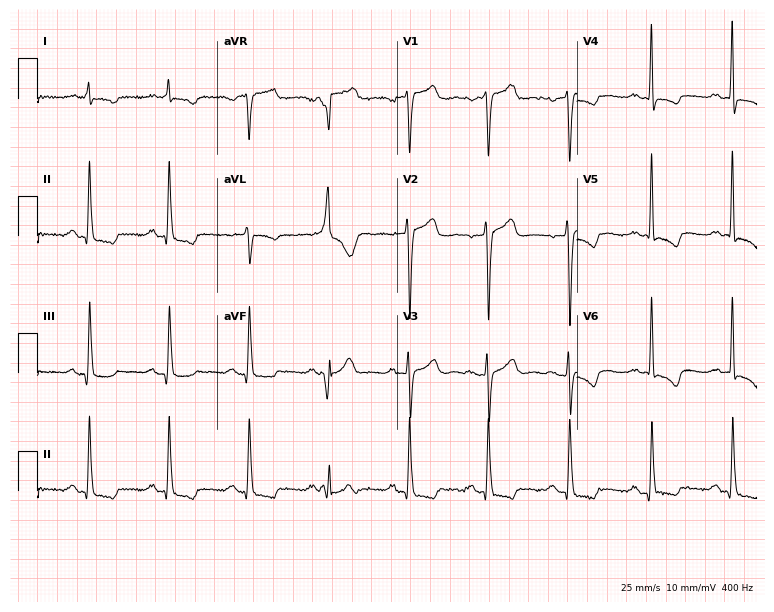
Resting 12-lead electrocardiogram. Patient: a 66-year-old male. None of these six findings is recorded: first-degree AV block, right bundle branch block (RBBB), left bundle branch block (LBBB), sinus bradycardia, atrial fibrillation (AF), sinus tachycardia.